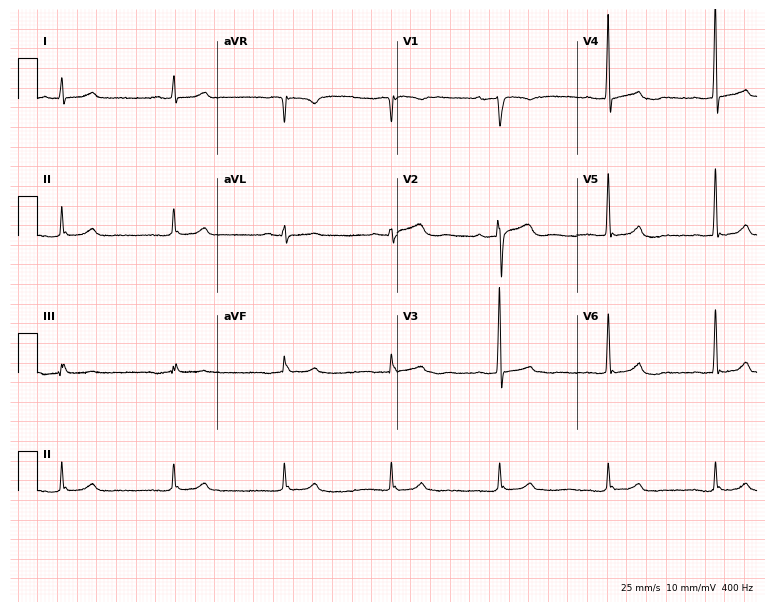
Electrocardiogram, a 54-year-old man. Overall reading on record: normal ECG.